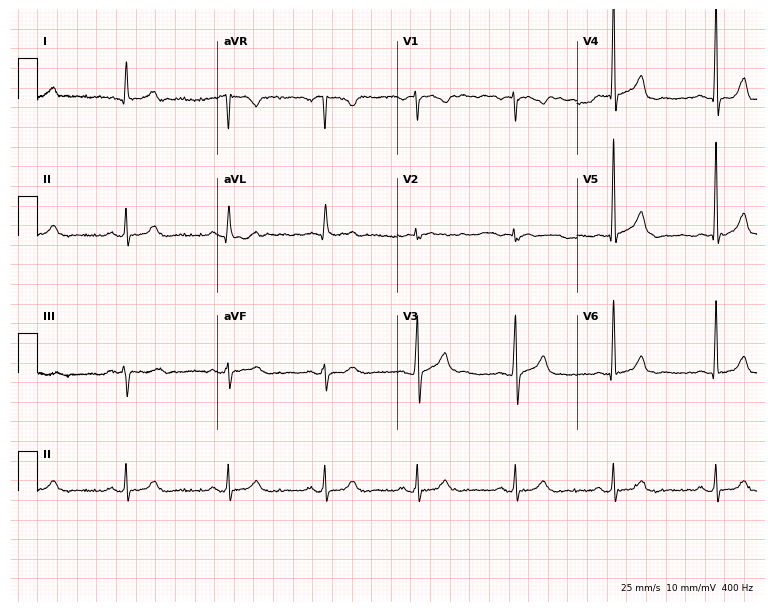
Standard 12-lead ECG recorded from a 67-year-old man (7.3-second recording at 400 Hz). Read as a normal ECG.